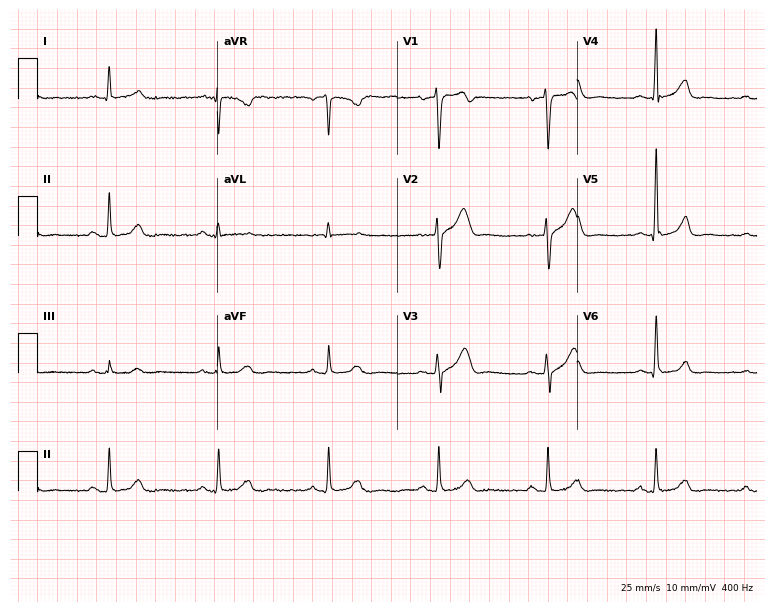
Resting 12-lead electrocardiogram (7.3-second recording at 400 Hz). Patient: a woman, 60 years old. Read as a normal ECG.